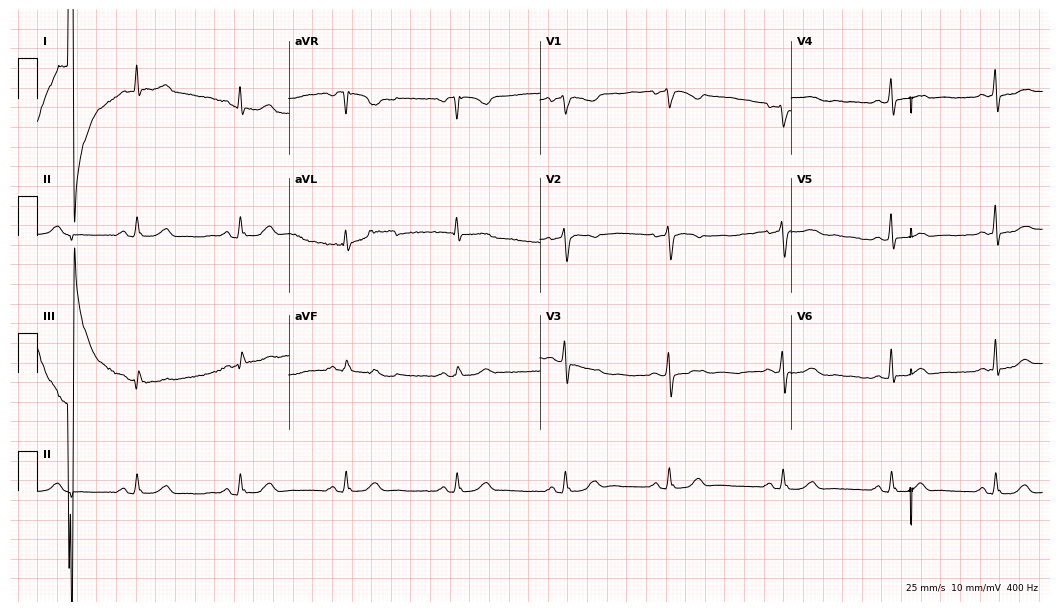
12-lead ECG (10.2-second recording at 400 Hz) from a 58-year-old female patient. Screened for six findings — first-degree AV block, right bundle branch block, left bundle branch block, sinus bradycardia, atrial fibrillation, sinus tachycardia — none is recorded.